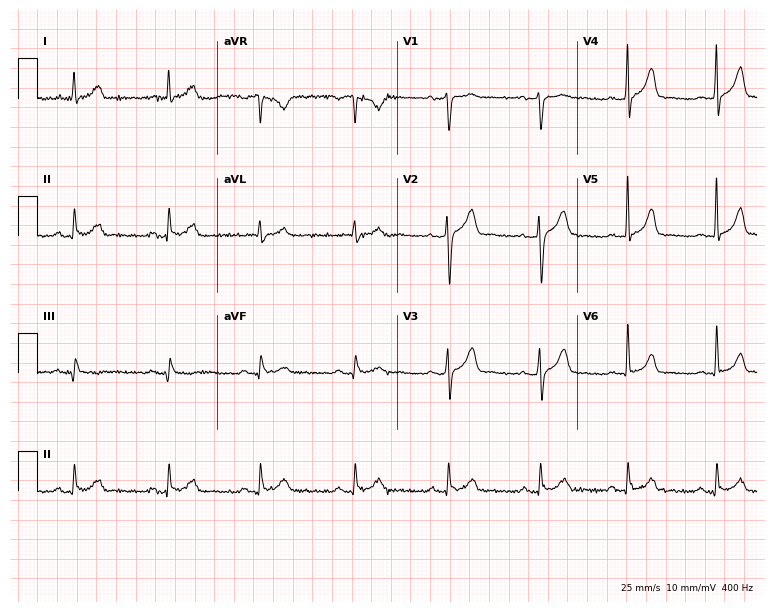
Standard 12-lead ECG recorded from a 59-year-old male. Read as a normal ECG.